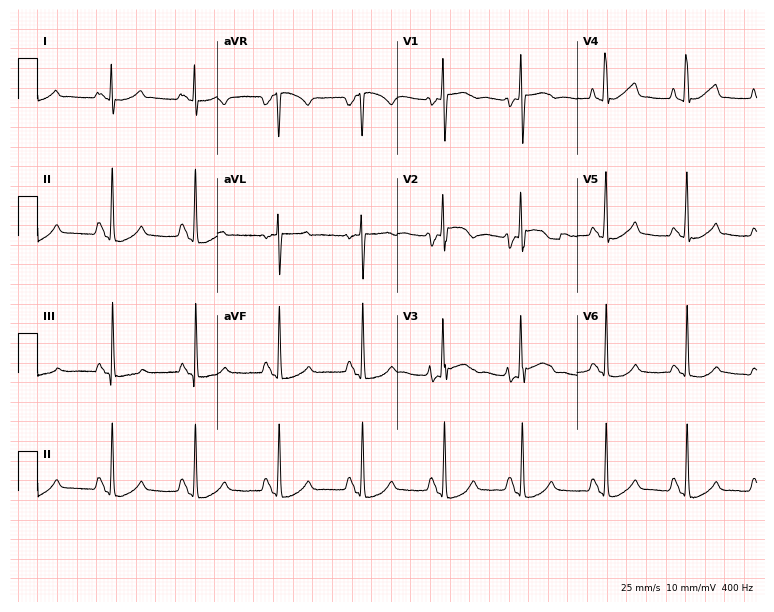
12-lead ECG from a 22-year-old female. Labelled as a normal ECG.